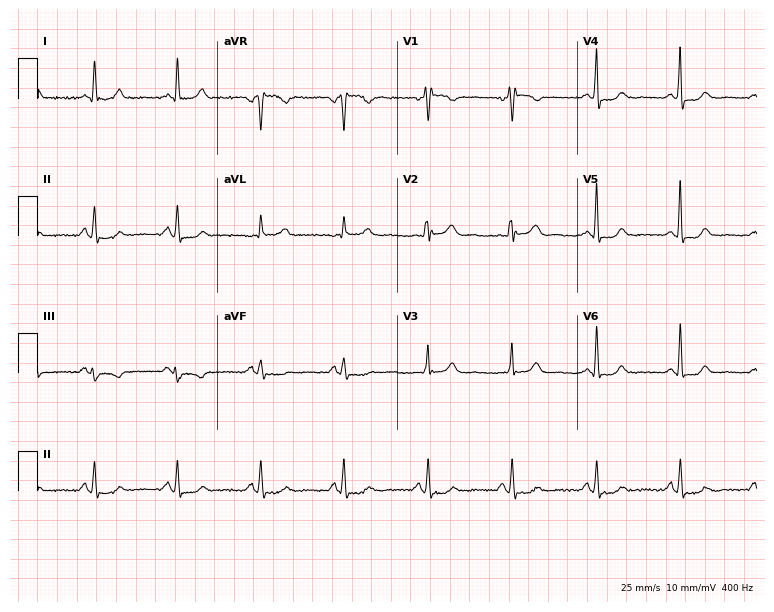
Electrocardiogram (7.3-second recording at 400 Hz), a 61-year-old male. Of the six screened findings (first-degree AV block, right bundle branch block, left bundle branch block, sinus bradycardia, atrial fibrillation, sinus tachycardia), none is recorded.